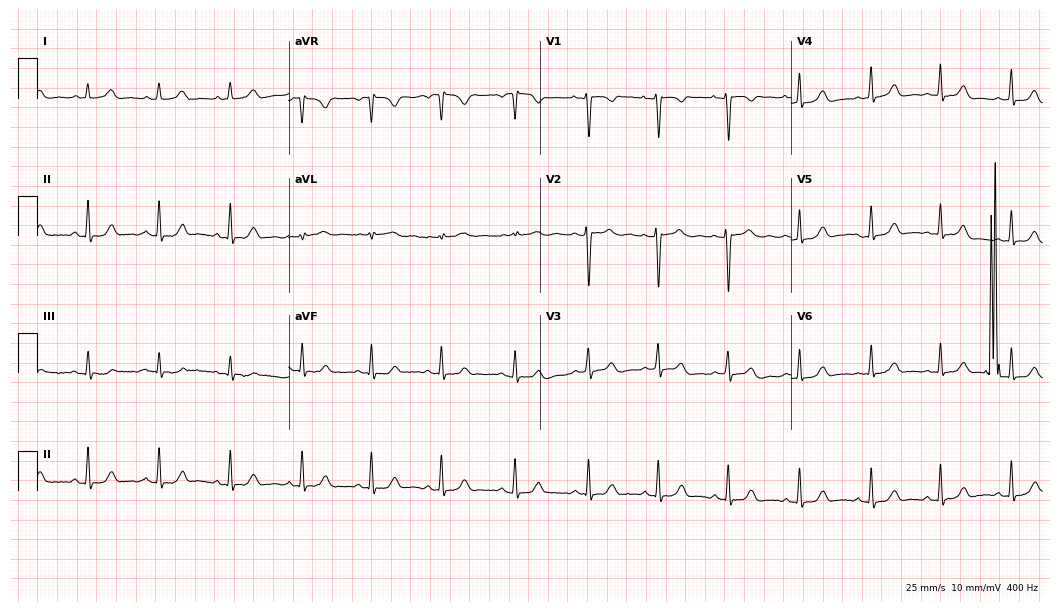
ECG — a woman, 25 years old. Labelled as a normal ECG.